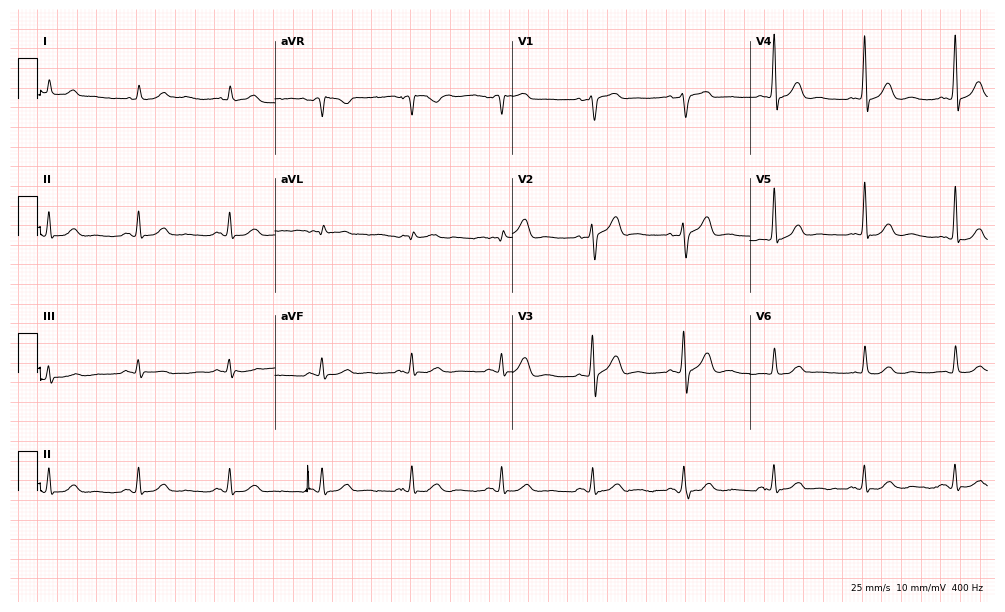
Resting 12-lead electrocardiogram. Patient: a male, 75 years old. Read as a normal ECG.